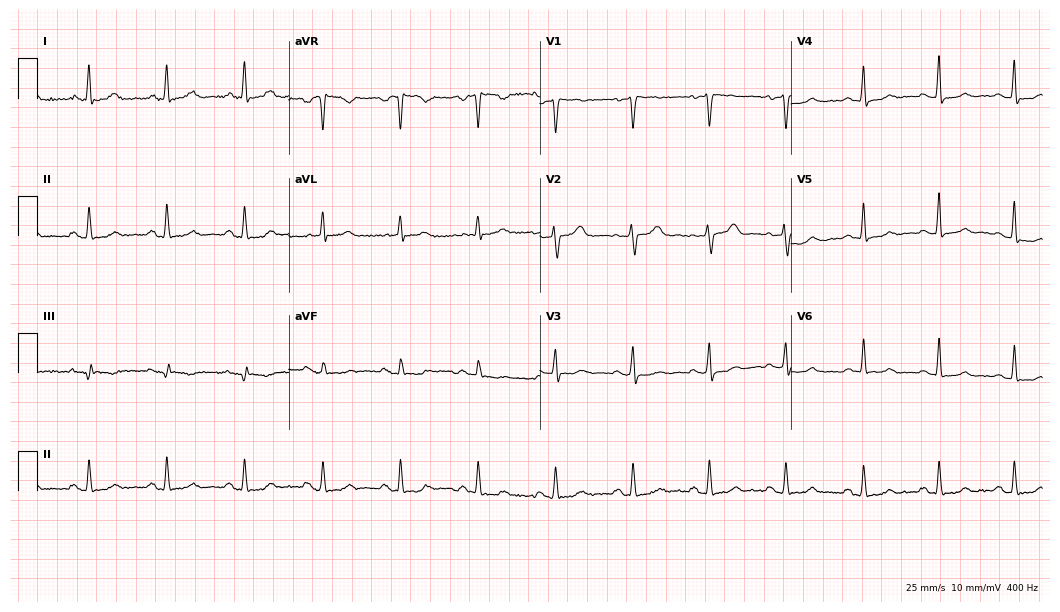
Resting 12-lead electrocardiogram (10.2-second recording at 400 Hz). Patient: a female, 64 years old. Read as a normal ECG.